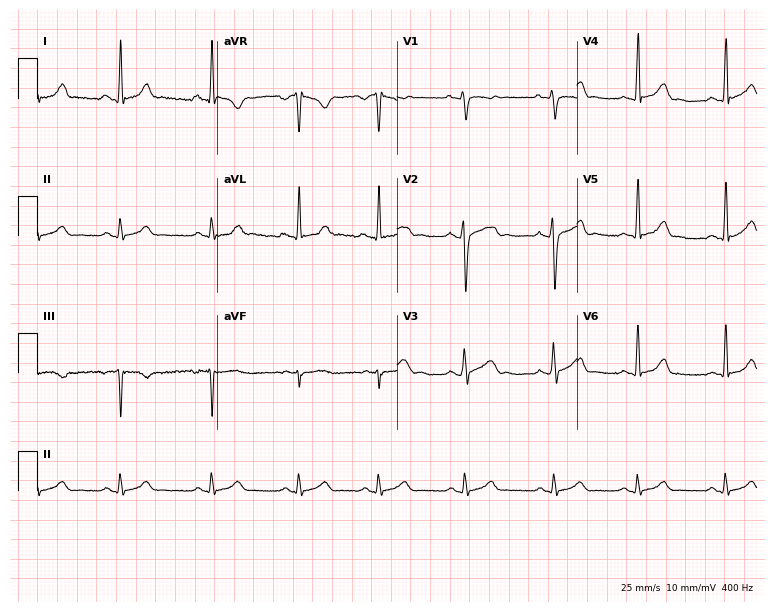
Electrocardiogram, a 21-year-old woman. Overall reading on record: normal ECG.